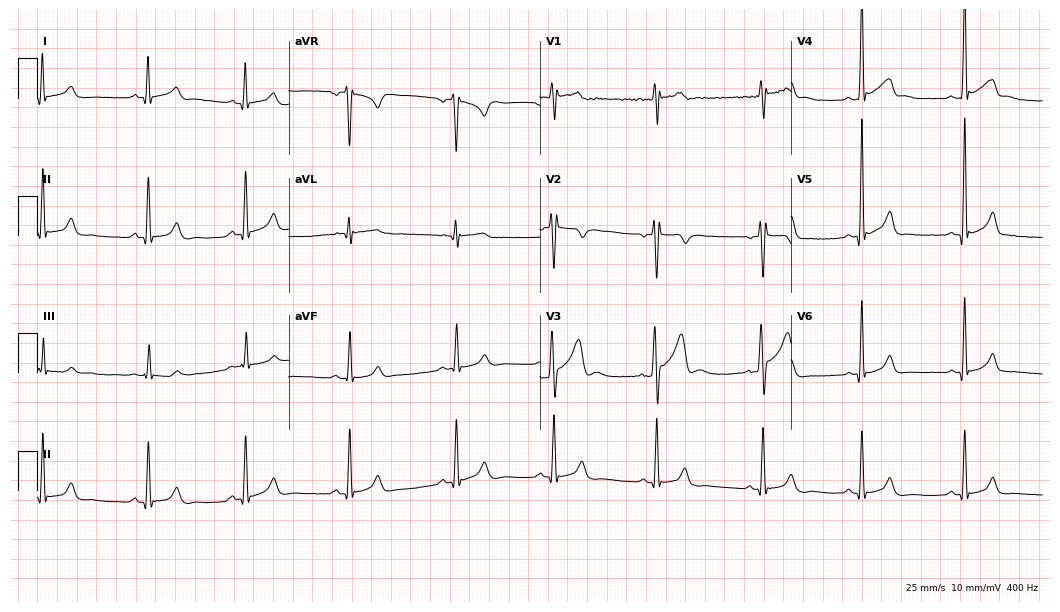
12-lead ECG from a male, 18 years old. No first-degree AV block, right bundle branch block, left bundle branch block, sinus bradycardia, atrial fibrillation or sinus tachycardia recorded for this tracing.